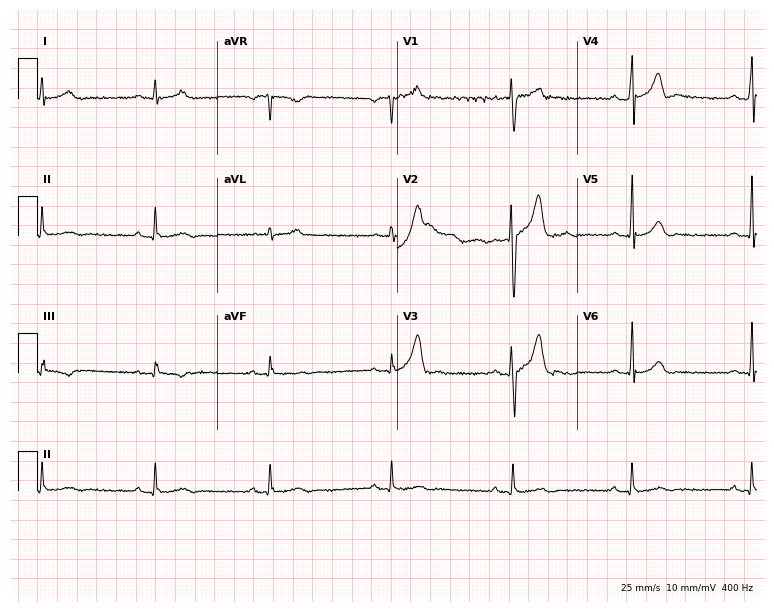
12-lead ECG (7.3-second recording at 400 Hz) from a man, 33 years old. Screened for six findings — first-degree AV block, right bundle branch block (RBBB), left bundle branch block (LBBB), sinus bradycardia, atrial fibrillation (AF), sinus tachycardia — none is recorded.